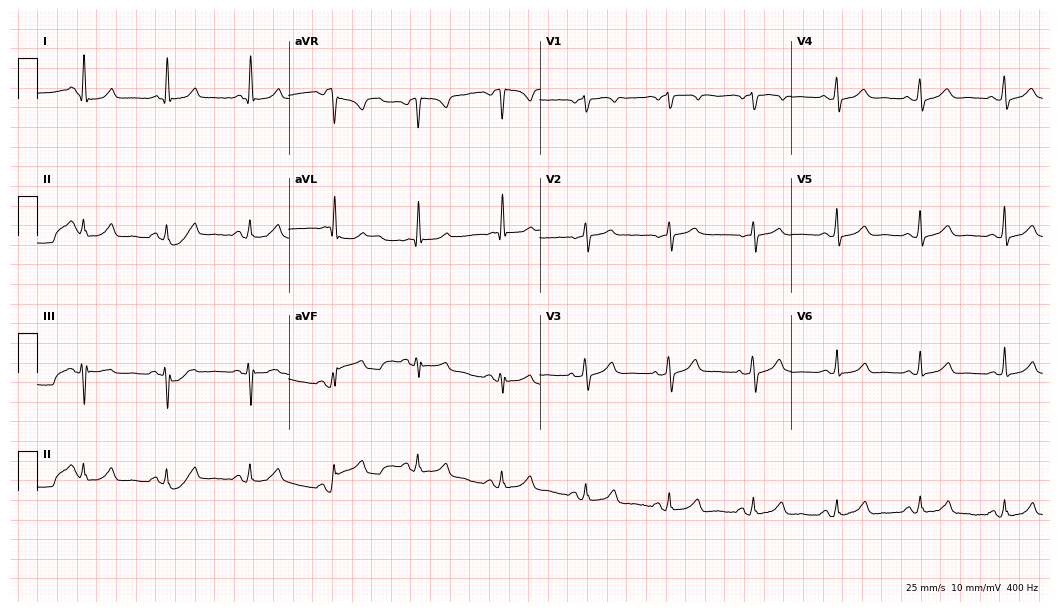
Electrocardiogram, a 58-year-old female. Overall reading on record: normal ECG.